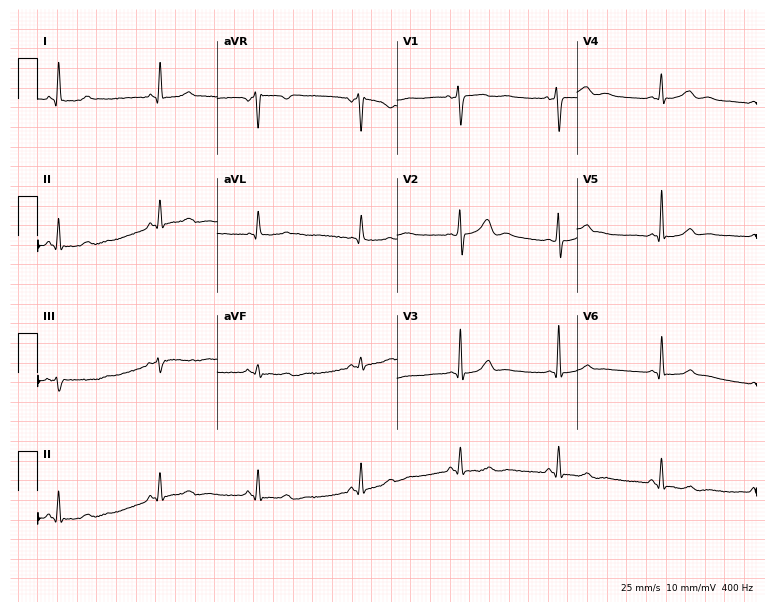
Electrocardiogram, a 33-year-old female patient. Of the six screened findings (first-degree AV block, right bundle branch block (RBBB), left bundle branch block (LBBB), sinus bradycardia, atrial fibrillation (AF), sinus tachycardia), none is recorded.